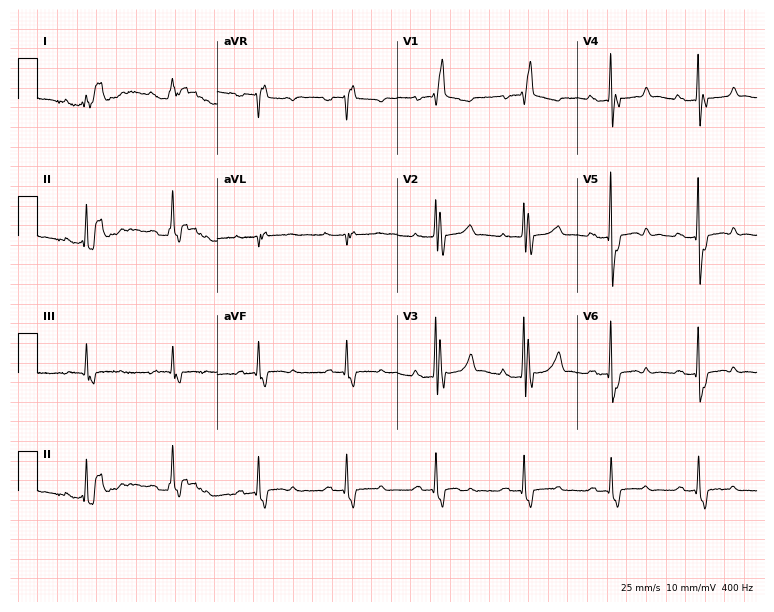
Electrocardiogram, an 83-year-old male. Interpretation includes right bundle branch block.